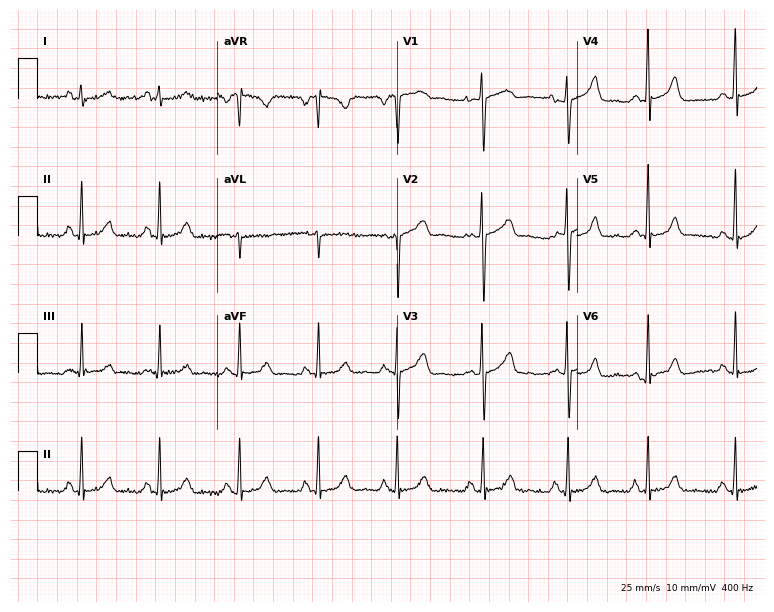
Standard 12-lead ECG recorded from a 27-year-old woman. Read as a normal ECG.